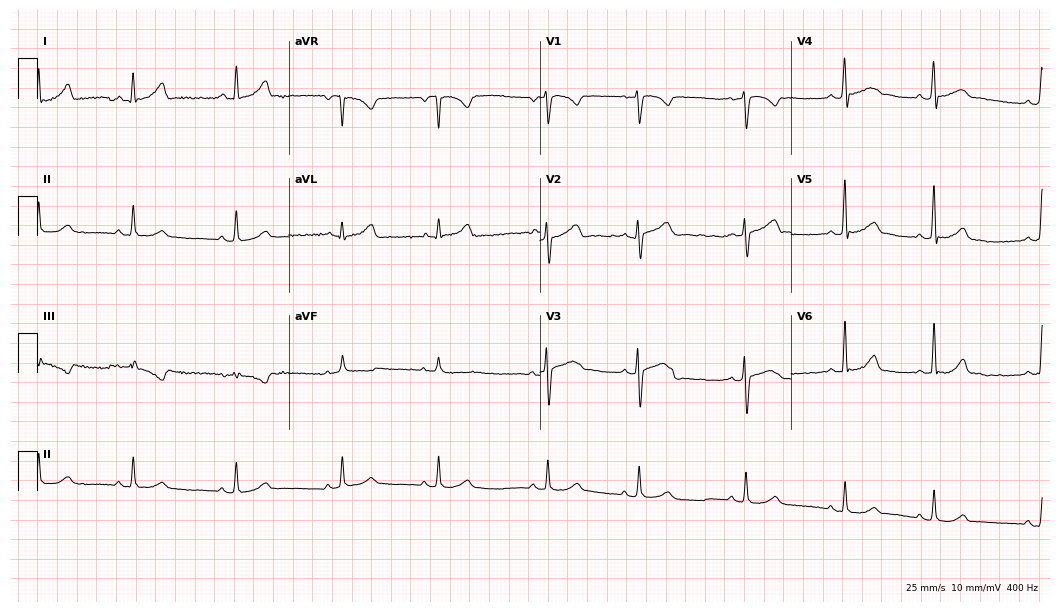
Electrocardiogram (10.2-second recording at 400 Hz), a 23-year-old woman. Overall reading on record: normal ECG.